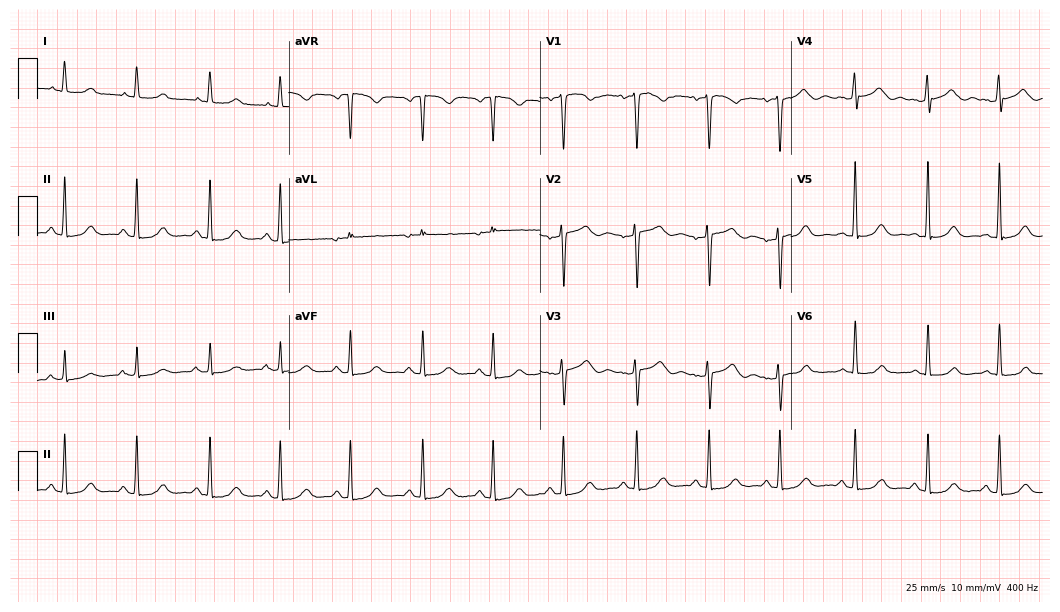
Standard 12-lead ECG recorded from a 42-year-old woman (10.2-second recording at 400 Hz). Read as a normal ECG.